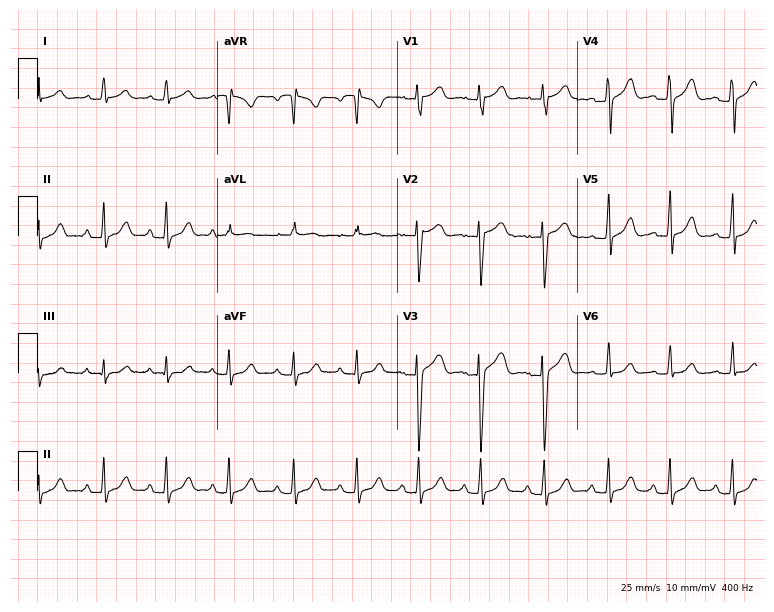
Standard 12-lead ECG recorded from a female patient, 24 years old. Read as a normal ECG.